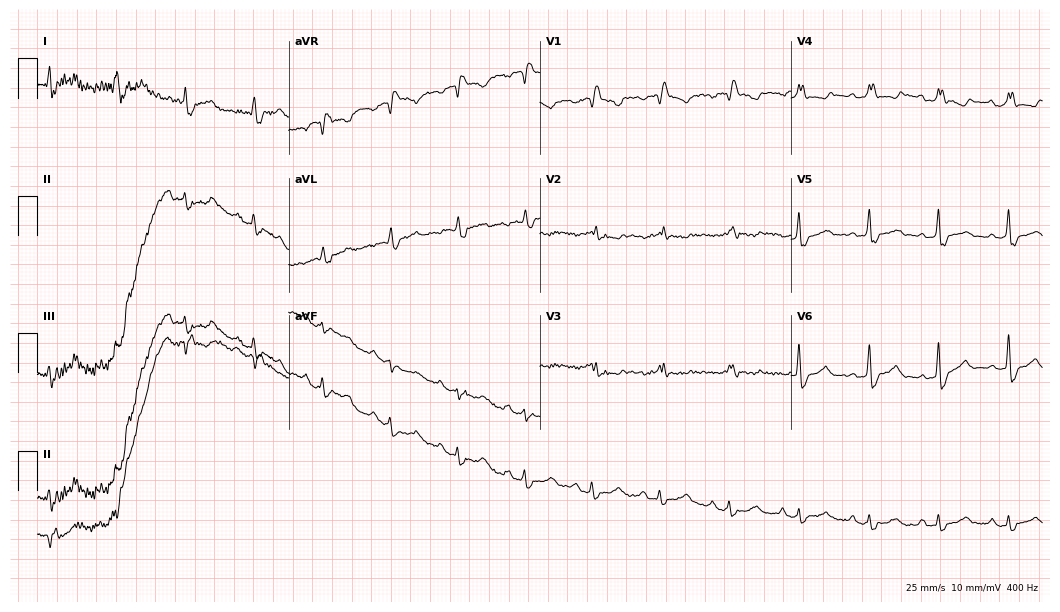
Resting 12-lead electrocardiogram (10.2-second recording at 400 Hz). Patient: an 81-year-old male. The tracing shows right bundle branch block (RBBB).